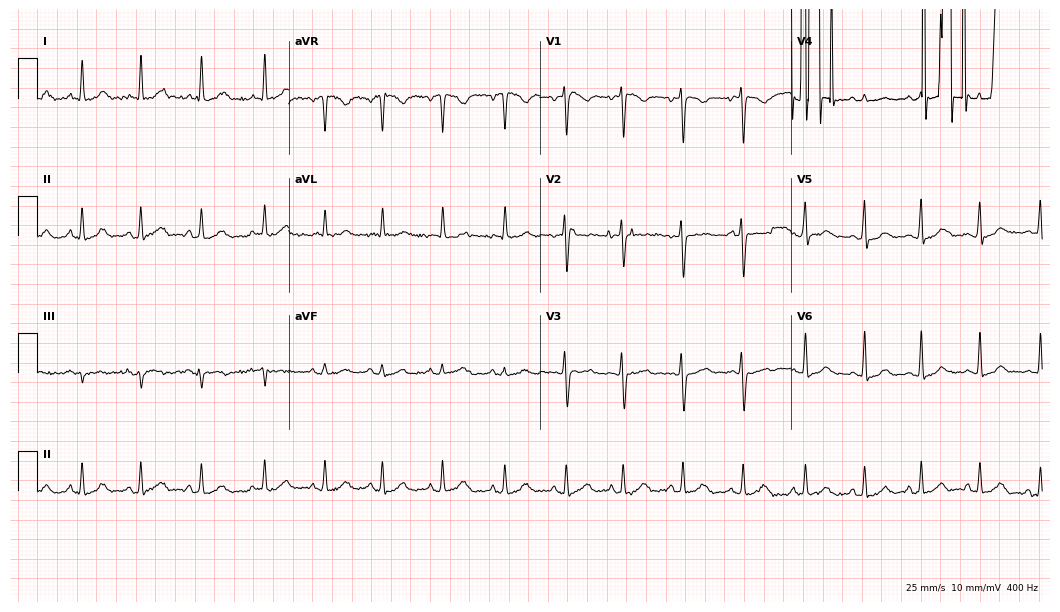
ECG — a female, 28 years old. Screened for six findings — first-degree AV block, right bundle branch block, left bundle branch block, sinus bradycardia, atrial fibrillation, sinus tachycardia — none is recorded. Only these six findings were labelled.